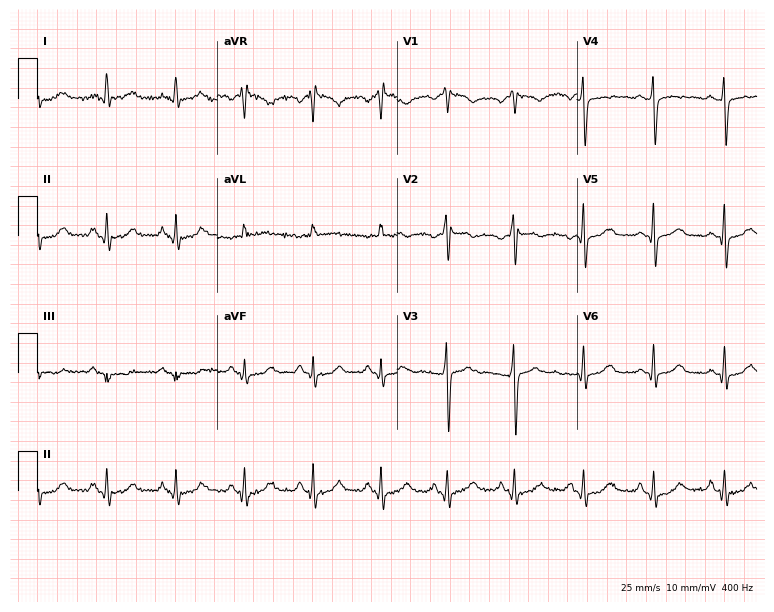
Standard 12-lead ECG recorded from a 64-year-old female. Read as a normal ECG.